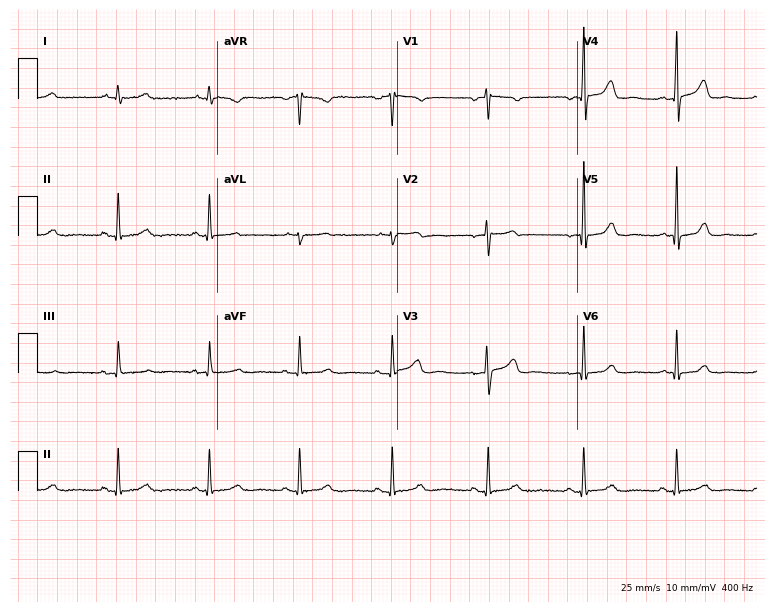
12-lead ECG from a female patient, 54 years old. Recorded interpretation: within normal limits.